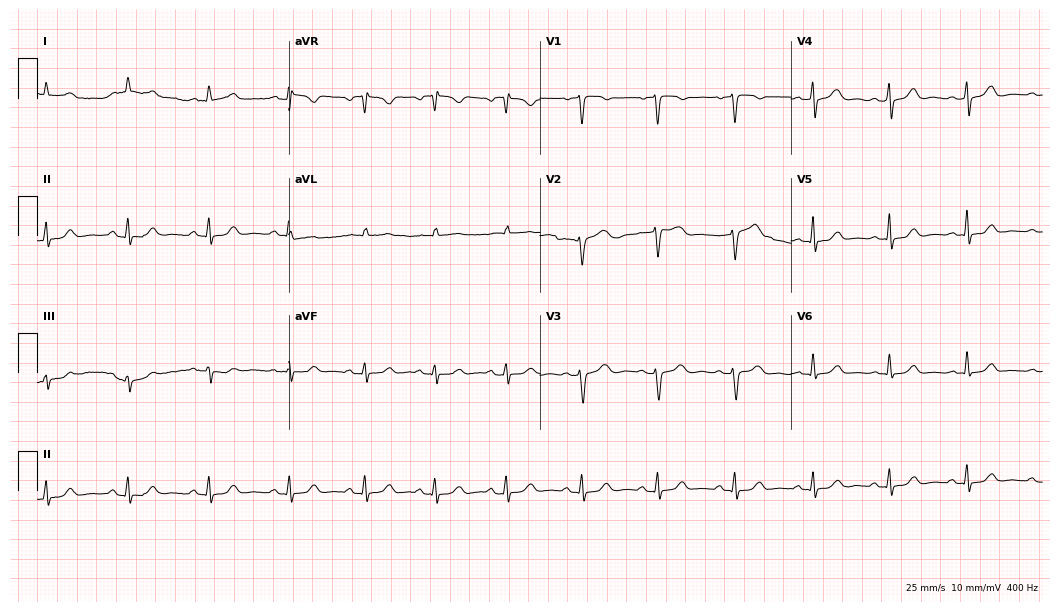
12-lead ECG from a 50-year-old woman. Recorded interpretation: within normal limits.